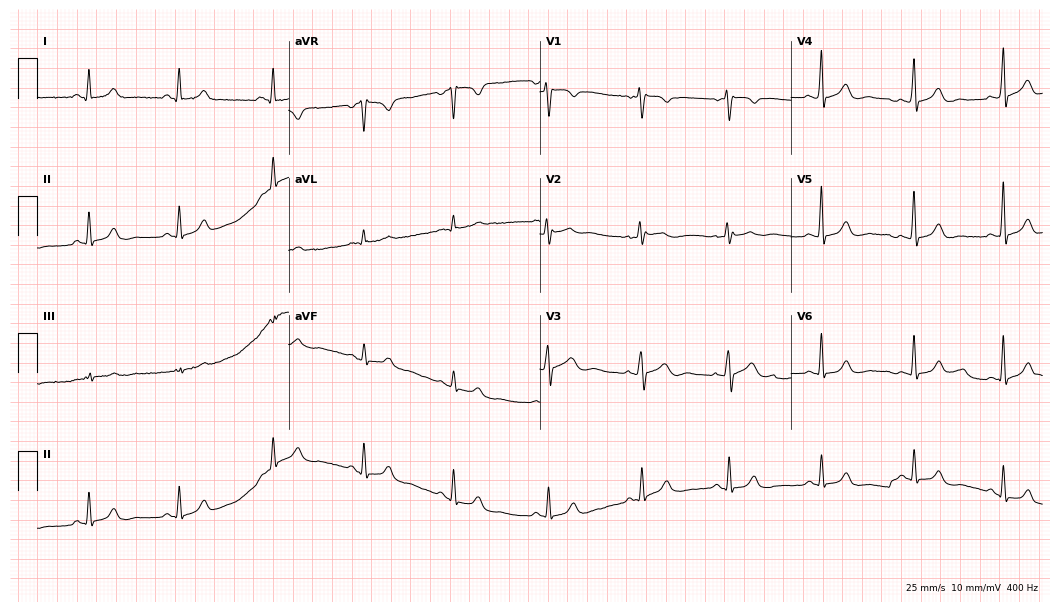
12-lead ECG from a male patient, 56 years old. Screened for six findings — first-degree AV block, right bundle branch block, left bundle branch block, sinus bradycardia, atrial fibrillation, sinus tachycardia — none is recorded.